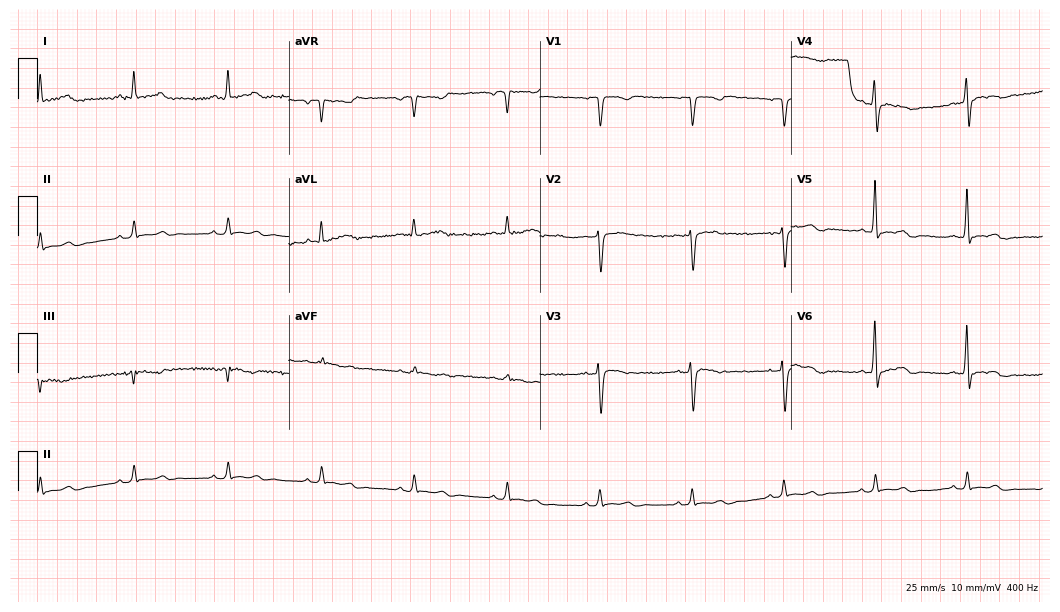
Electrocardiogram (10.2-second recording at 400 Hz), a 58-year-old male patient. Overall reading on record: normal ECG.